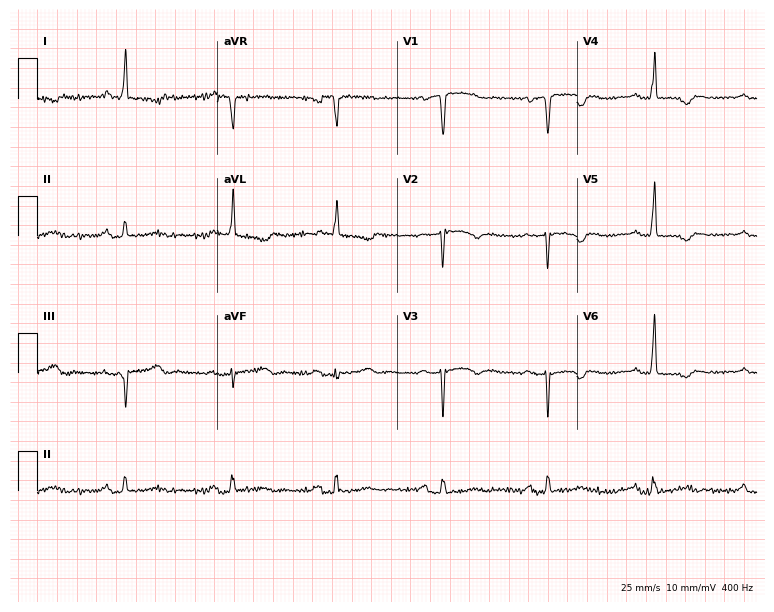
12-lead ECG from an 81-year-old woman. Shows first-degree AV block.